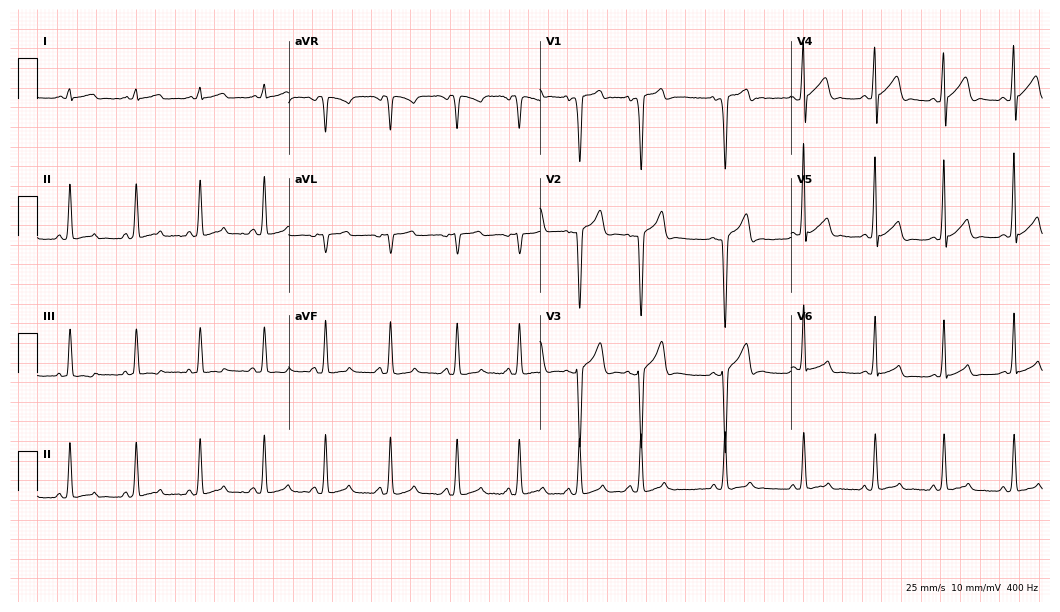
12-lead ECG from a 26-year-old male (10.2-second recording at 400 Hz). No first-degree AV block, right bundle branch block (RBBB), left bundle branch block (LBBB), sinus bradycardia, atrial fibrillation (AF) or sinus tachycardia recorded for this tracing. Only these six findings were labelled.